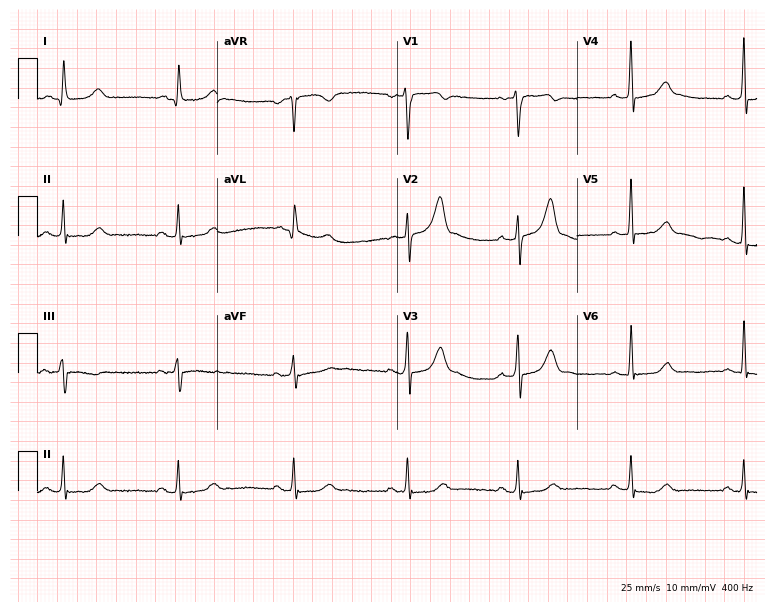
ECG (7.3-second recording at 400 Hz) — a 57-year-old male patient. Labelled as a normal ECG.